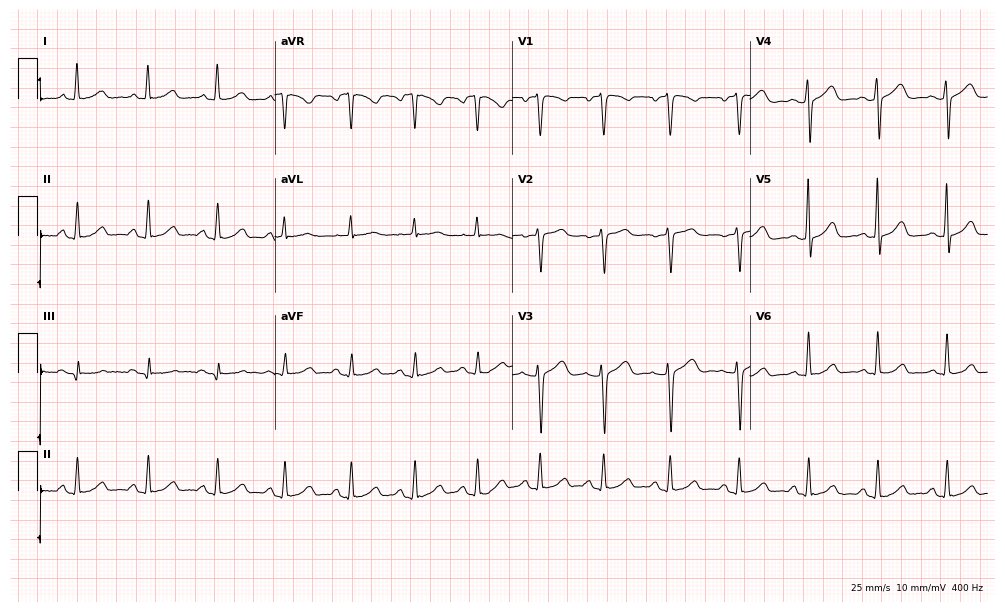
12-lead ECG from a 42-year-old female. Recorded interpretation: within normal limits.